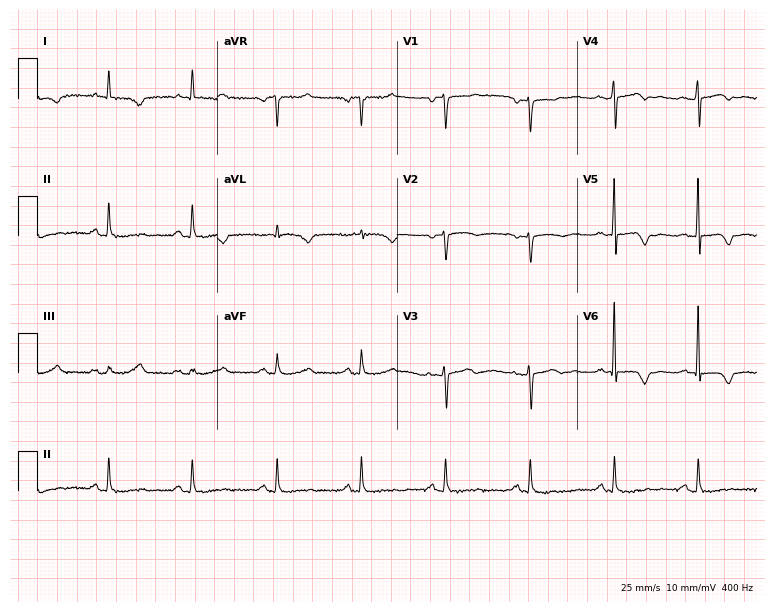
Electrocardiogram (7.3-second recording at 400 Hz), a woman, 66 years old. Of the six screened findings (first-degree AV block, right bundle branch block, left bundle branch block, sinus bradycardia, atrial fibrillation, sinus tachycardia), none is recorded. Other findings, if any, are not listed.